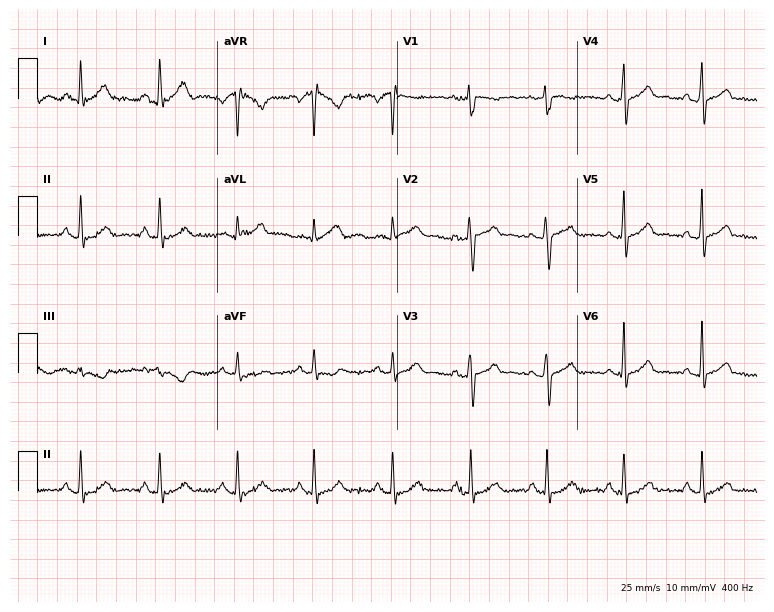
12-lead ECG from a 42-year-old woman. Labelled as a normal ECG.